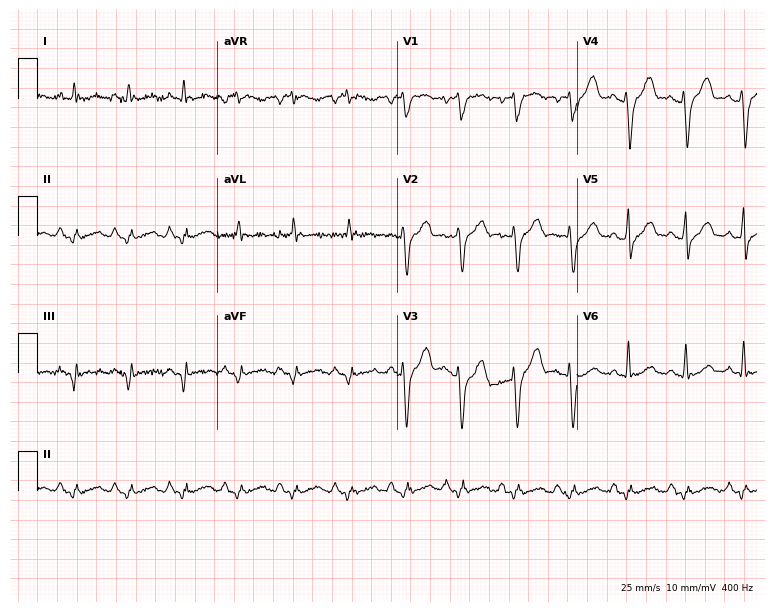
Standard 12-lead ECG recorded from a 53-year-old male. The tracing shows sinus tachycardia (a sinus rate of 100 beats per minute or more).